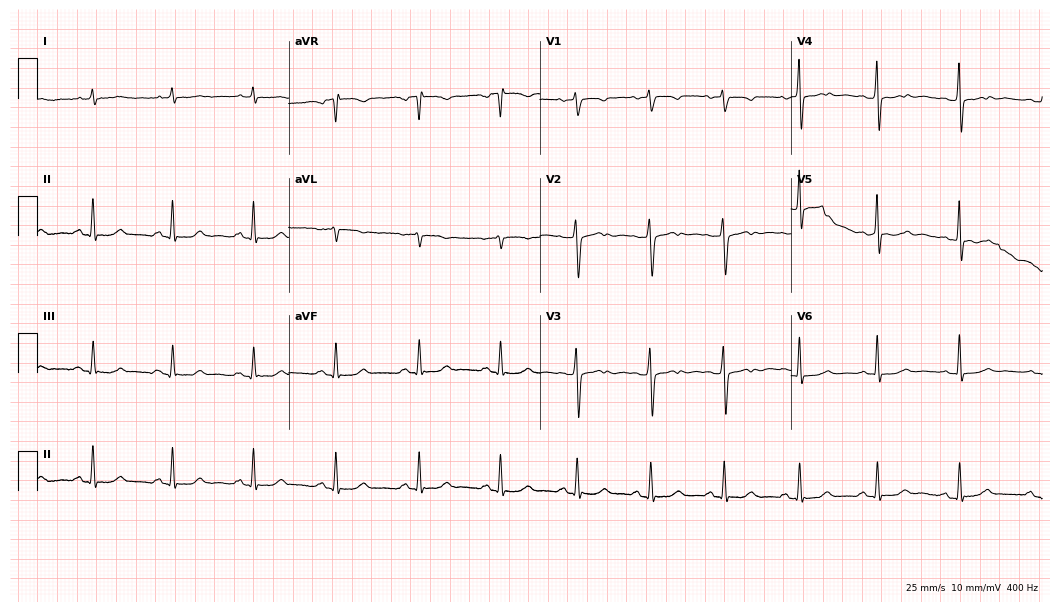
12-lead ECG from a 60-year-old woman (10.2-second recording at 400 Hz). Recorded interpretation: within normal limits.